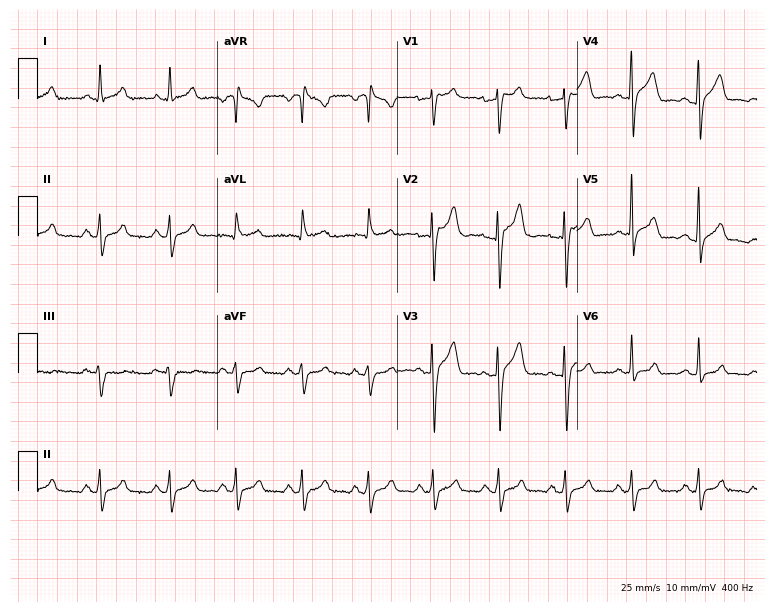
Electrocardiogram, a 28-year-old female patient. Overall reading on record: normal ECG.